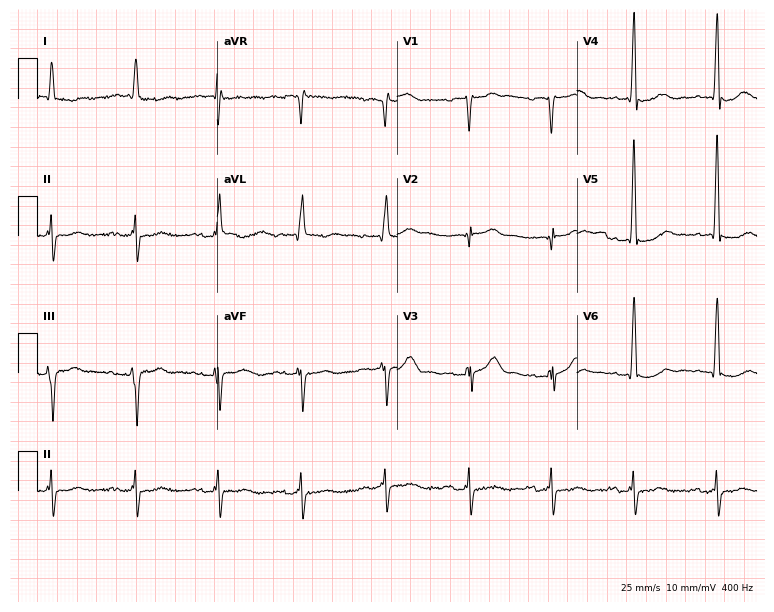
Resting 12-lead electrocardiogram (7.3-second recording at 400 Hz). Patient: a man, 83 years old. The tracing shows first-degree AV block.